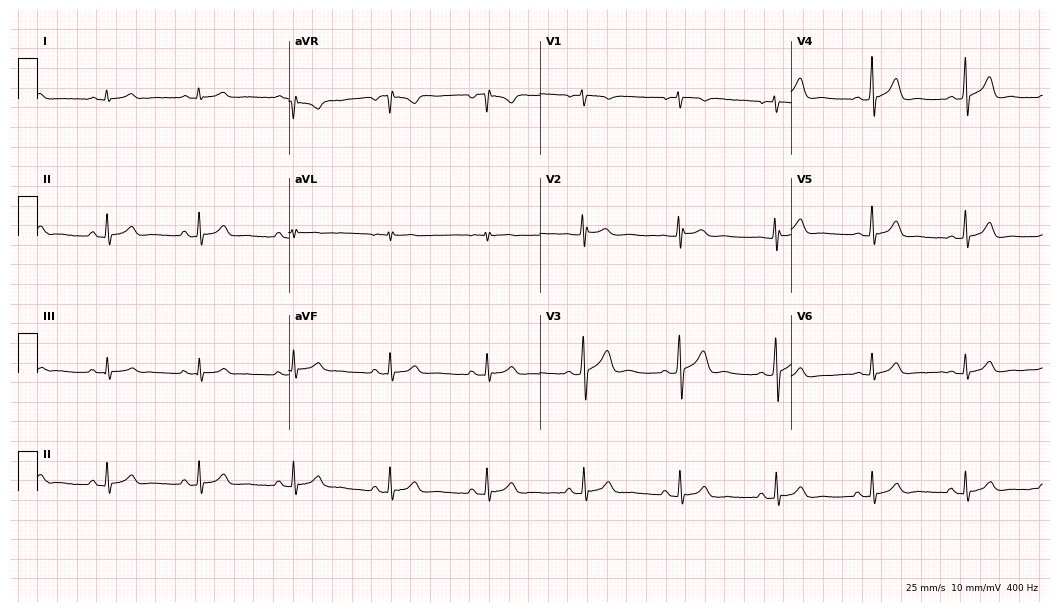
Standard 12-lead ECG recorded from a 30-year-old male (10.2-second recording at 400 Hz). Read as a normal ECG.